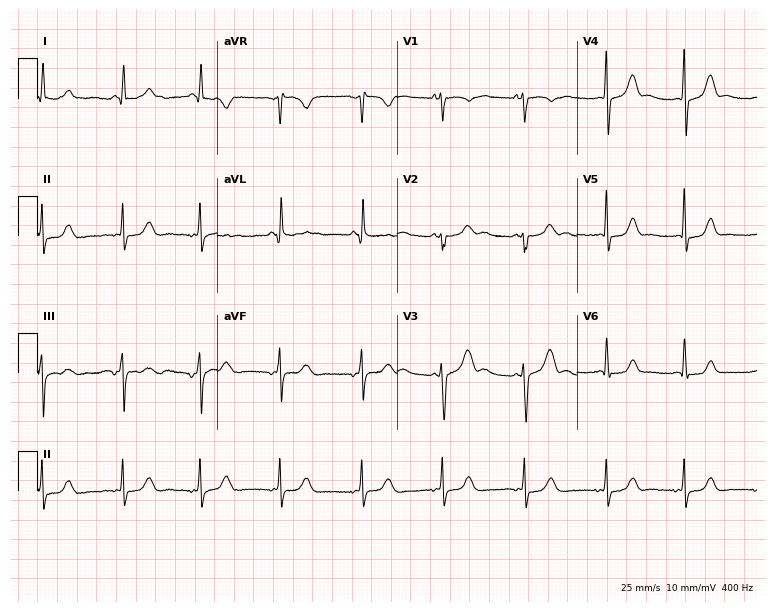
Resting 12-lead electrocardiogram. Patient: a female, 36 years old. Read as a normal ECG.